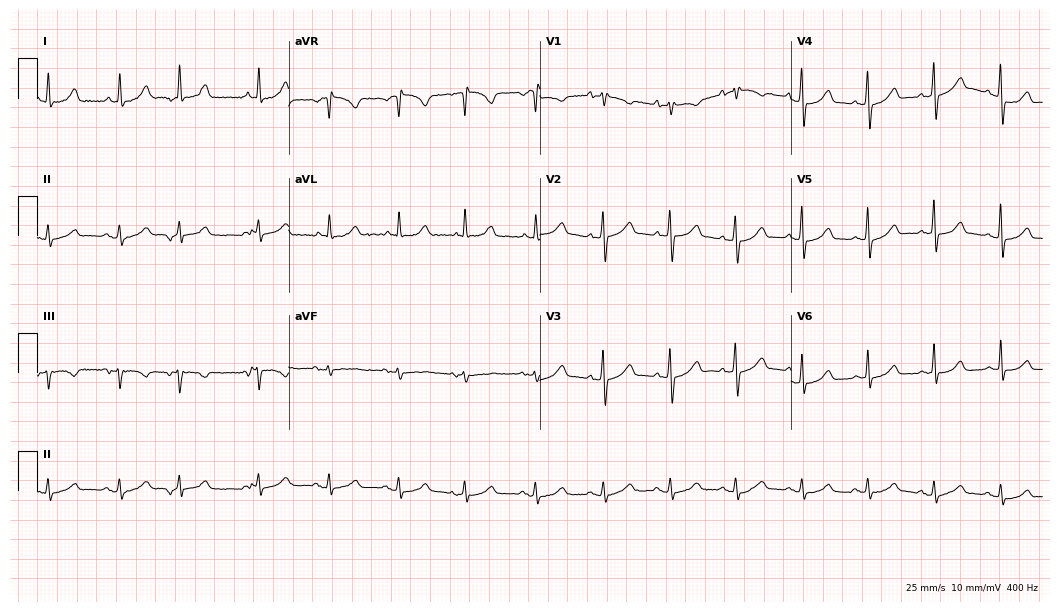
Standard 12-lead ECG recorded from a woman, 85 years old (10.2-second recording at 400 Hz). None of these six findings is recorded: first-degree AV block, right bundle branch block (RBBB), left bundle branch block (LBBB), sinus bradycardia, atrial fibrillation (AF), sinus tachycardia.